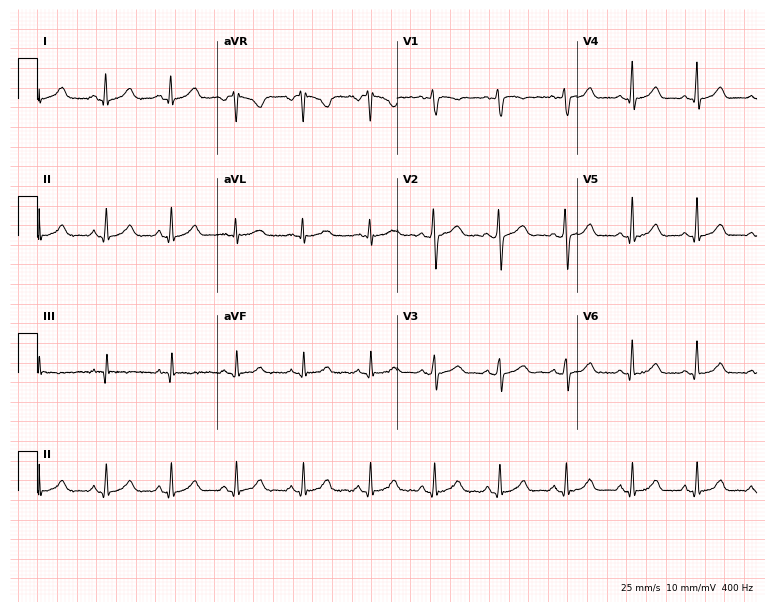
12-lead ECG from a female patient, 30 years old. Recorded interpretation: within normal limits.